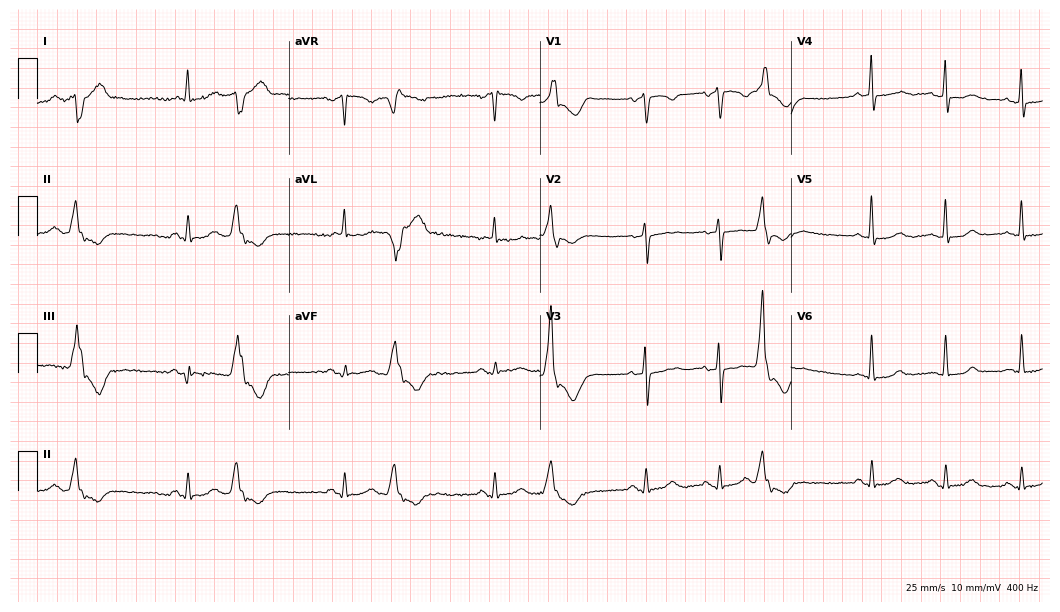
ECG (10.2-second recording at 400 Hz) — a female, 76 years old. Screened for six findings — first-degree AV block, right bundle branch block (RBBB), left bundle branch block (LBBB), sinus bradycardia, atrial fibrillation (AF), sinus tachycardia — none is recorded. Findings outside these six are not listed.